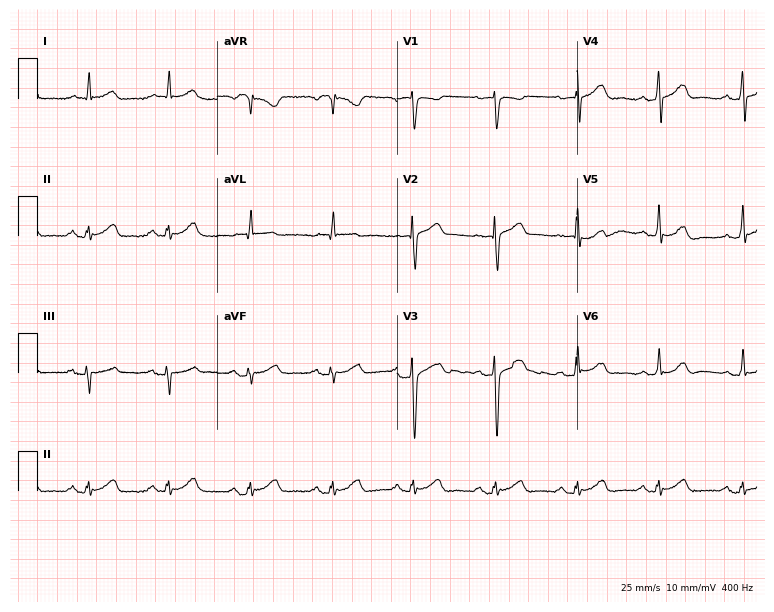
Electrocardiogram (7.3-second recording at 400 Hz), a 64-year-old male. Of the six screened findings (first-degree AV block, right bundle branch block, left bundle branch block, sinus bradycardia, atrial fibrillation, sinus tachycardia), none is recorded. Findings outside these six are not listed.